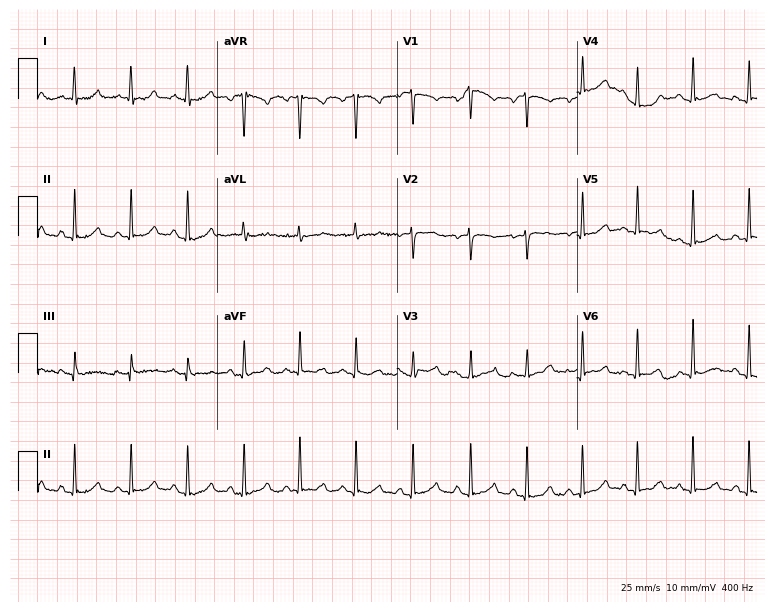
Electrocardiogram, a 61-year-old female. Interpretation includes sinus tachycardia (a sinus rate of 100 beats per minute or more).